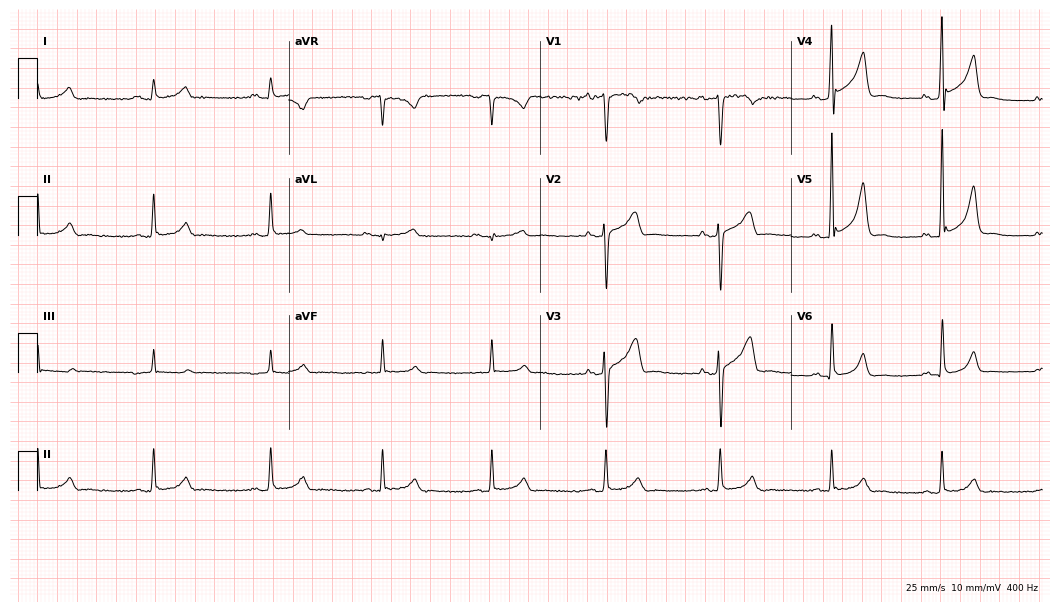
ECG — a male, 40 years old. Screened for six findings — first-degree AV block, right bundle branch block (RBBB), left bundle branch block (LBBB), sinus bradycardia, atrial fibrillation (AF), sinus tachycardia — none is recorded. Findings outside these six are not listed.